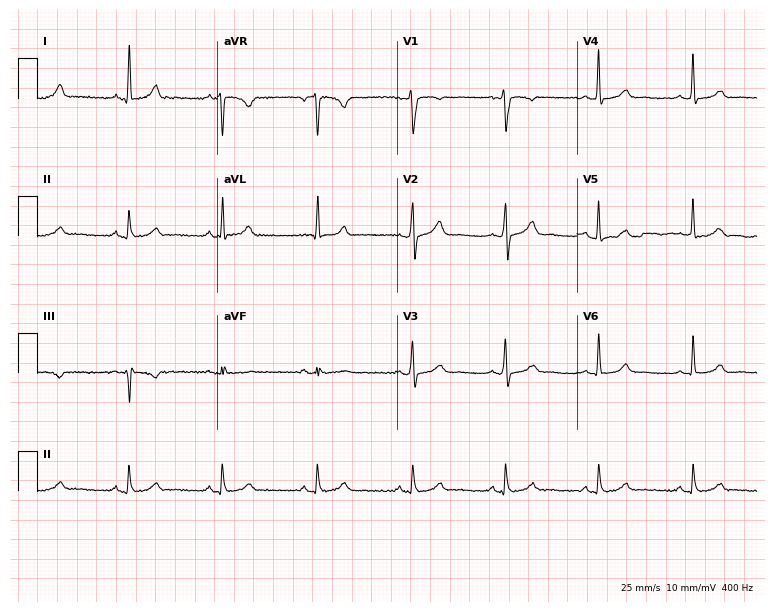
Standard 12-lead ECG recorded from a female, 50 years old (7.3-second recording at 400 Hz). Read as a normal ECG.